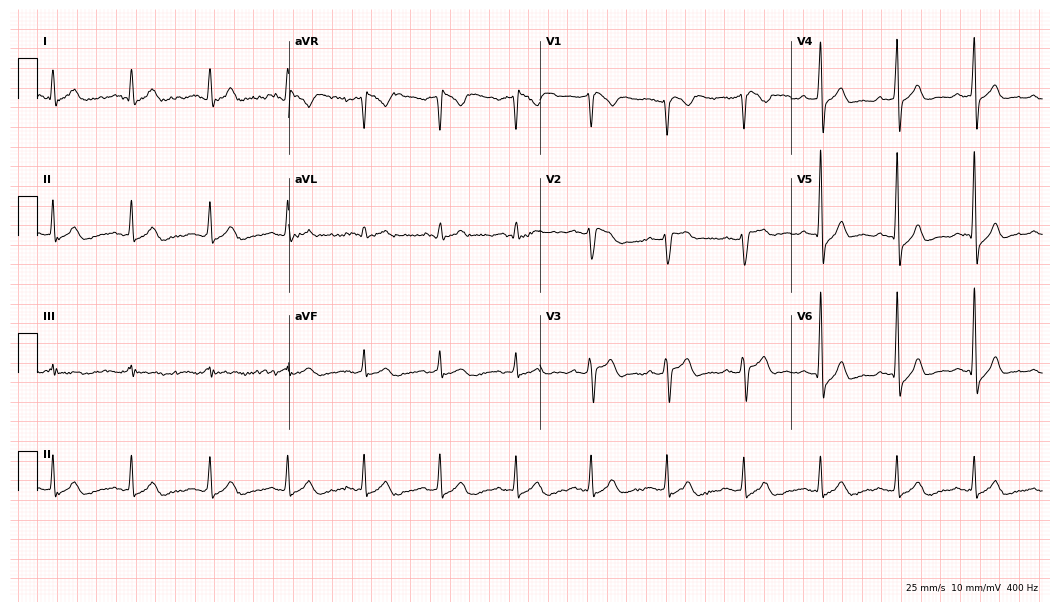
12-lead ECG from a 53-year-old male. Screened for six findings — first-degree AV block, right bundle branch block (RBBB), left bundle branch block (LBBB), sinus bradycardia, atrial fibrillation (AF), sinus tachycardia — none is recorded.